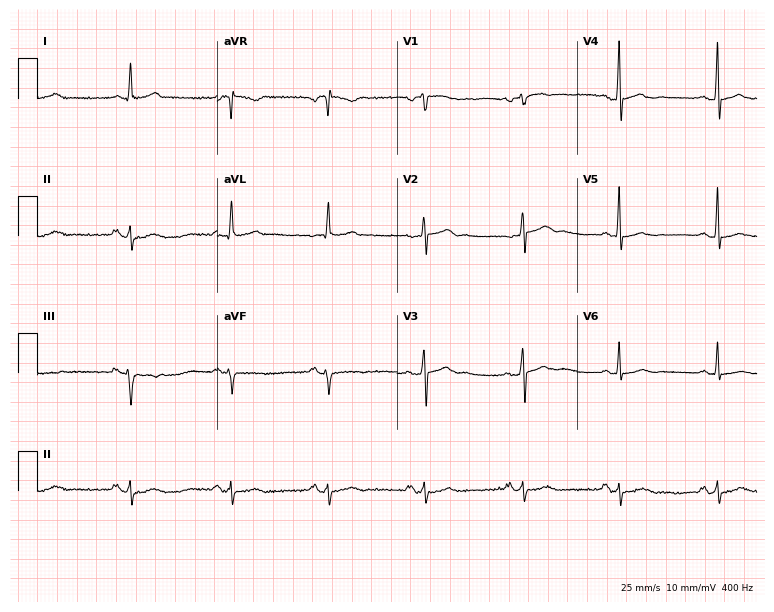
Standard 12-lead ECG recorded from a 71-year-old female (7.3-second recording at 400 Hz). None of these six findings is recorded: first-degree AV block, right bundle branch block (RBBB), left bundle branch block (LBBB), sinus bradycardia, atrial fibrillation (AF), sinus tachycardia. Only these six findings were labelled.